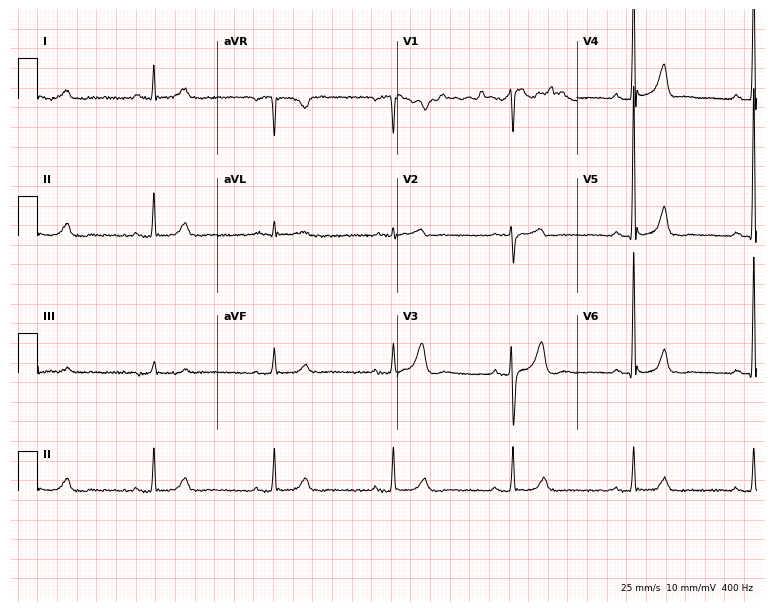
12-lead ECG from a 56-year-old man. No first-degree AV block, right bundle branch block (RBBB), left bundle branch block (LBBB), sinus bradycardia, atrial fibrillation (AF) or sinus tachycardia recorded for this tracing. Only these six findings were labelled.